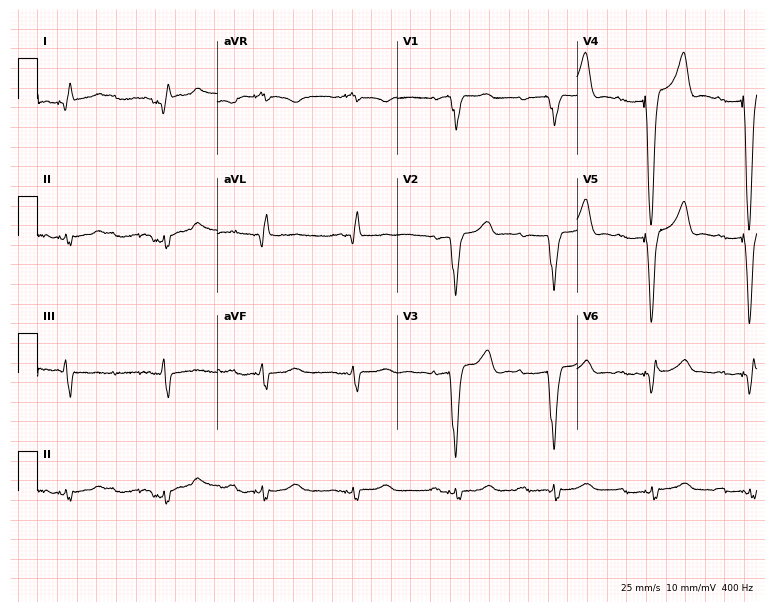
12-lead ECG from a 67-year-old woman. Screened for six findings — first-degree AV block, right bundle branch block, left bundle branch block, sinus bradycardia, atrial fibrillation, sinus tachycardia — none is recorded. Only these six findings were labelled.